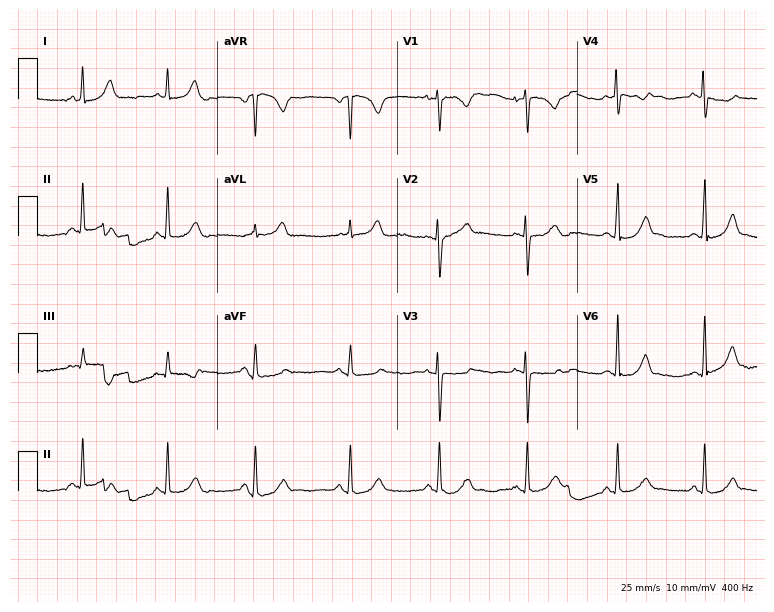
ECG — a 28-year-old female patient. Labelled as a normal ECG.